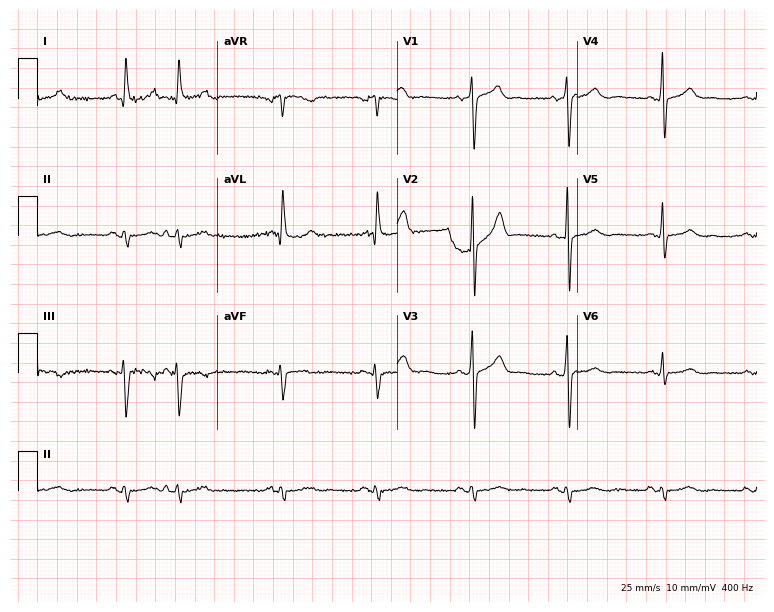
12-lead ECG from a male patient, 70 years old. No first-degree AV block, right bundle branch block (RBBB), left bundle branch block (LBBB), sinus bradycardia, atrial fibrillation (AF) or sinus tachycardia recorded for this tracing. Findings outside these six are not listed.